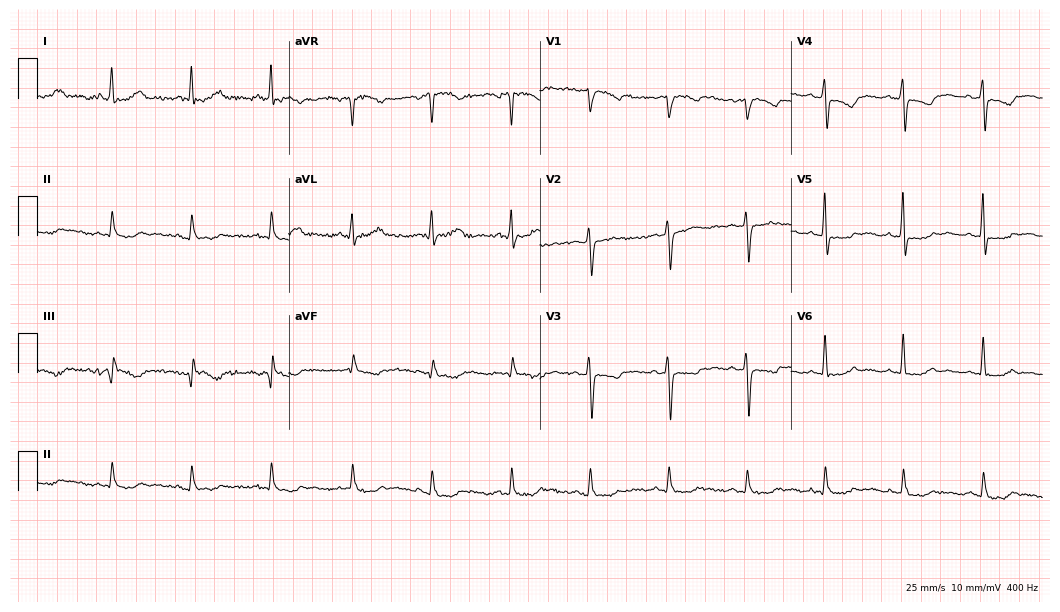
Electrocardiogram, a 63-year-old woman. Of the six screened findings (first-degree AV block, right bundle branch block, left bundle branch block, sinus bradycardia, atrial fibrillation, sinus tachycardia), none is recorded.